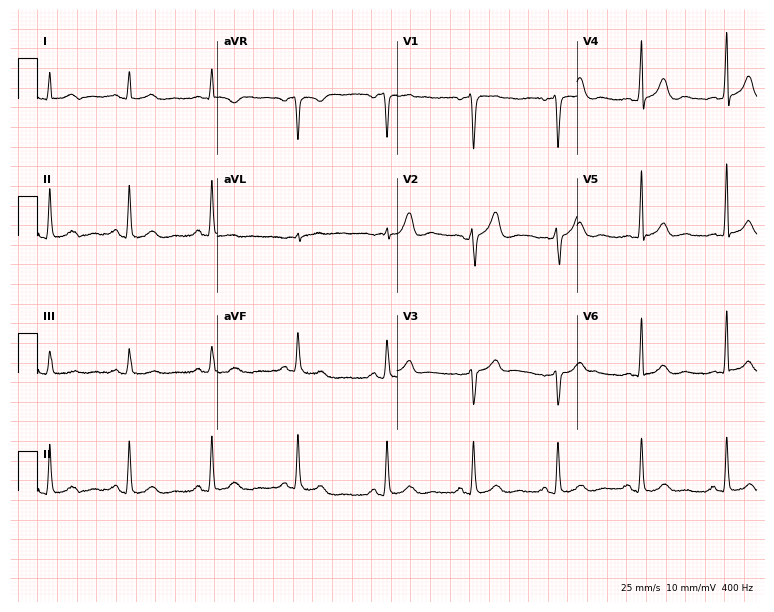
12-lead ECG from a man, 44 years old (7.3-second recording at 400 Hz). Recorded interpretation: within normal limits.